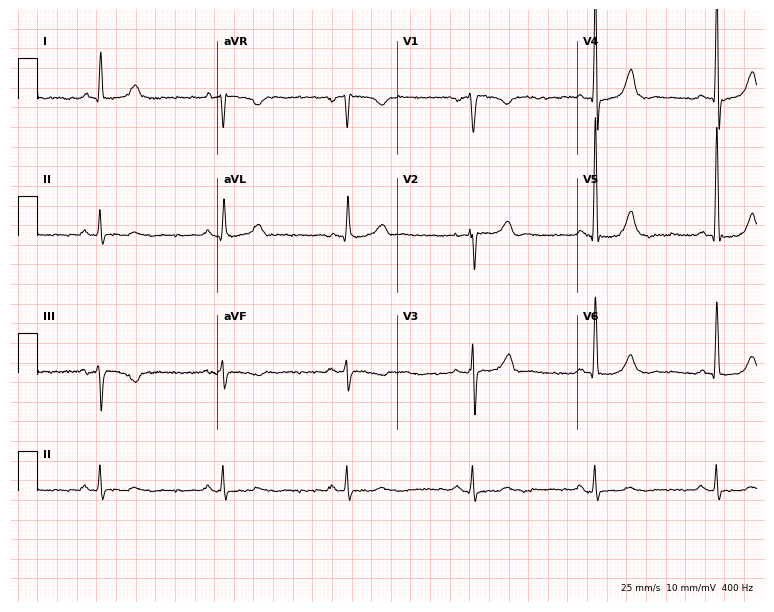
Standard 12-lead ECG recorded from a 67-year-old male patient. The tracing shows sinus bradycardia (a sinus rate of 50 beats per minute or less).